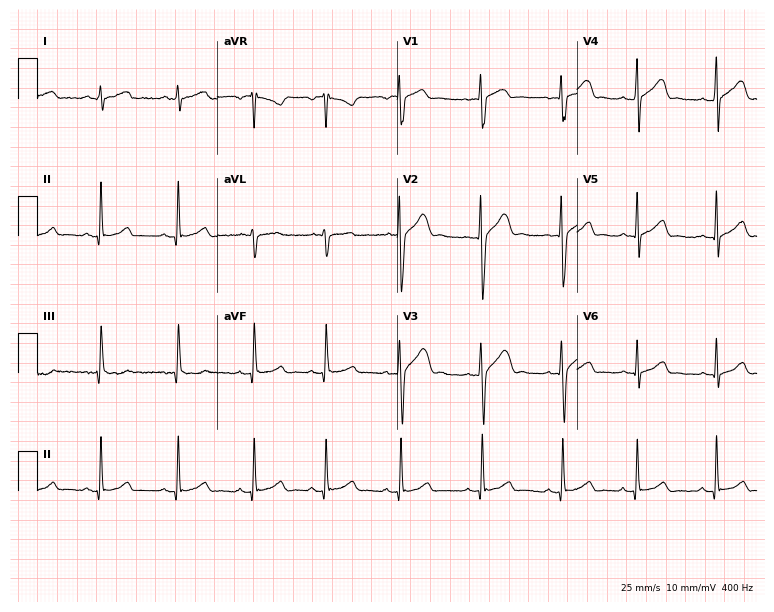
Electrocardiogram (7.3-second recording at 400 Hz), a 25-year-old male. Overall reading on record: normal ECG.